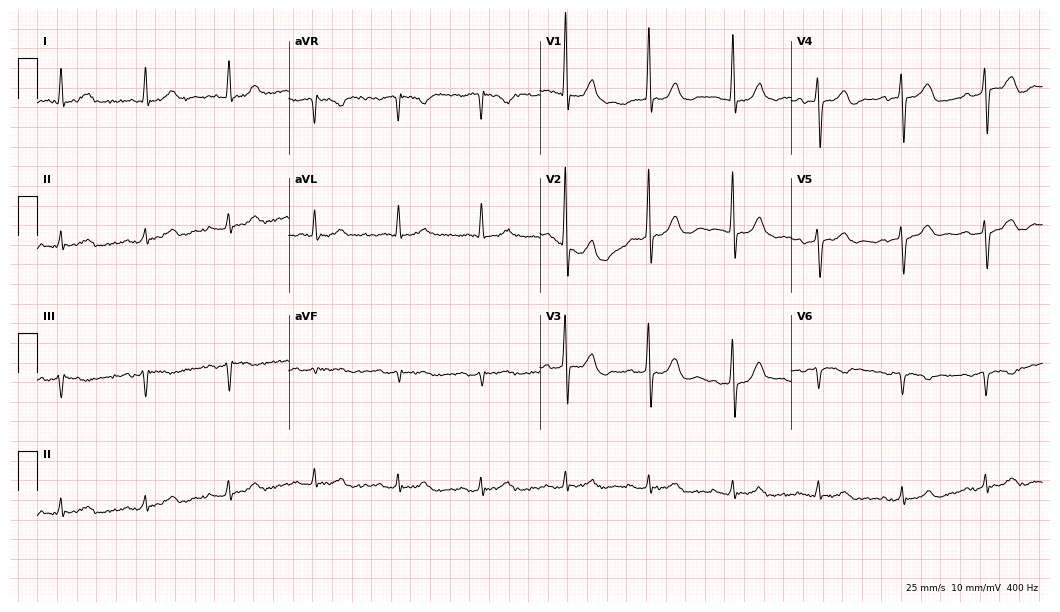
Standard 12-lead ECG recorded from an 84-year-old man (10.2-second recording at 400 Hz). None of these six findings is recorded: first-degree AV block, right bundle branch block, left bundle branch block, sinus bradycardia, atrial fibrillation, sinus tachycardia.